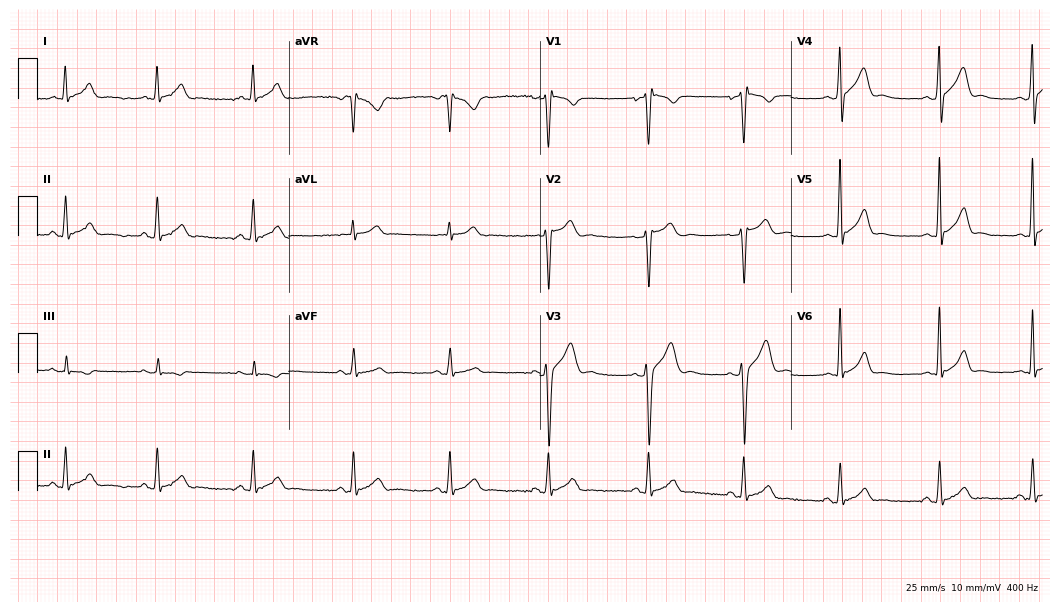
Standard 12-lead ECG recorded from a male patient, 22 years old (10.2-second recording at 400 Hz). None of these six findings is recorded: first-degree AV block, right bundle branch block, left bundle branch block, sinus bradycardia, atrial fibrillation, sinus tachycardia.